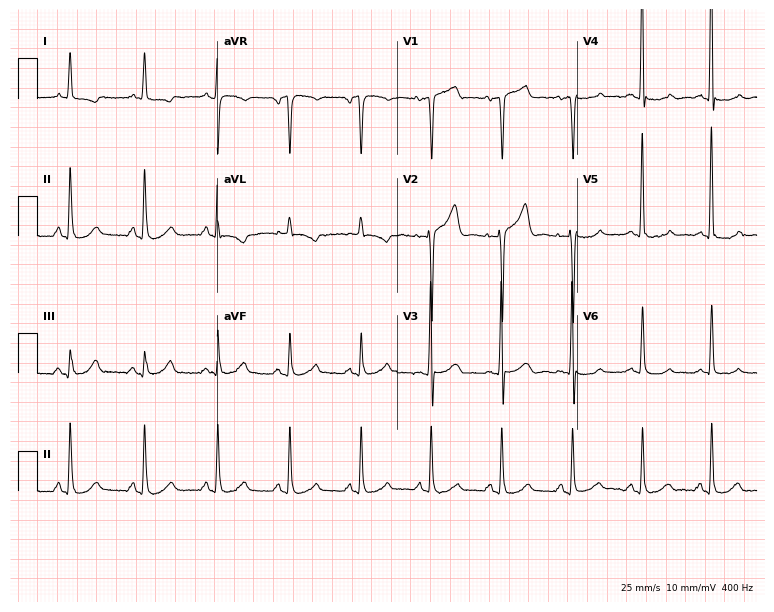
Resting 12-lead electrocardiogram (7.3-second recording at 400 Hz). Patient: a 70-year-old female. None of these six findings is recorded: first-degree AV block, right bundle branch block, left bundle branch block, sinus bradycardia, atrial fibrillation, sinus tachycardia. Other findings, if any, are not listed.